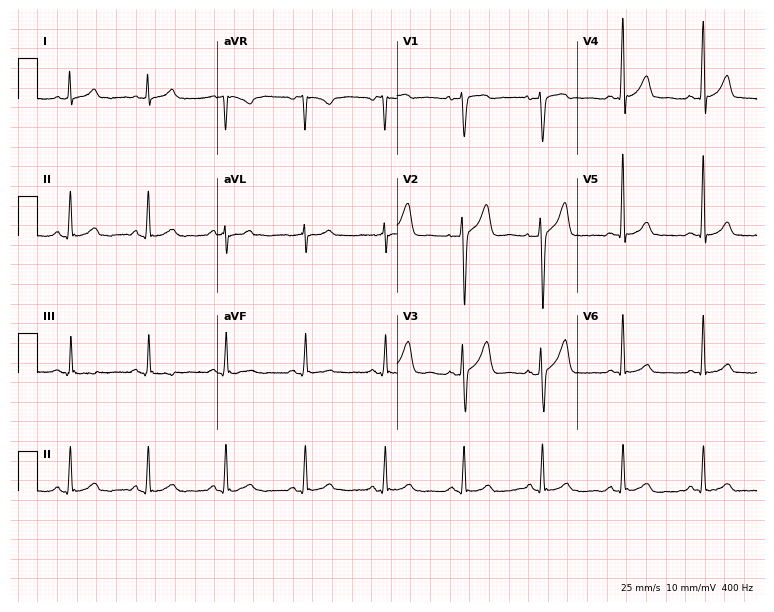
ECG (7.3-second recording at 400 Hz) — a male patient, 43 years old. Labelled as a normal ECG.